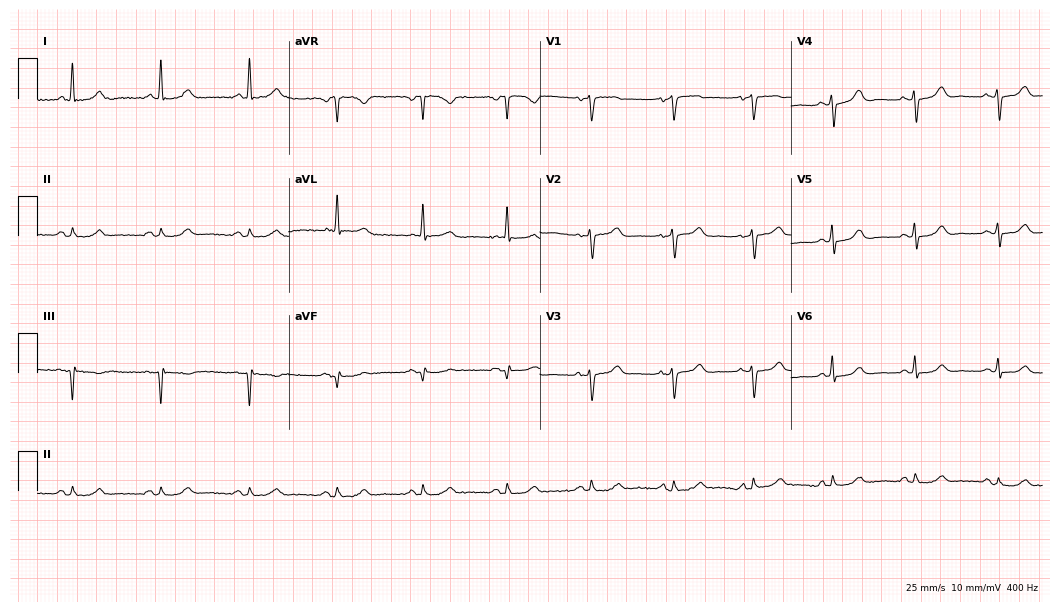
12-lead ECG from a 79-year-old female patient (10.2-second recording at 400 Hz). Recorded interpretation: within normal limits.